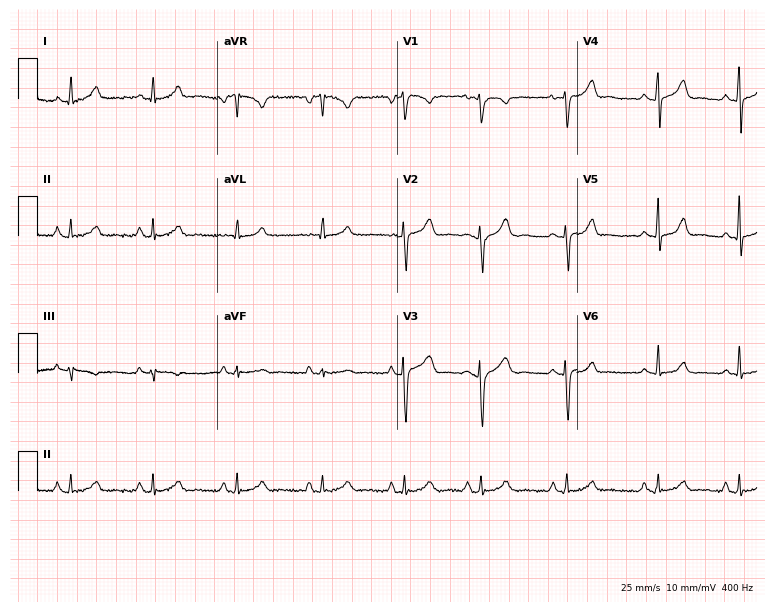
12-lead ECG from a 22-year-old woman. No first-degree AV block, right bundle branch block (RBBB), left bundle branch block (LBBB), sinus bradycardia, atrial fibrillation (AF) or sinus tachycardia recorded for this tracing. Findings outside these six are not listed.